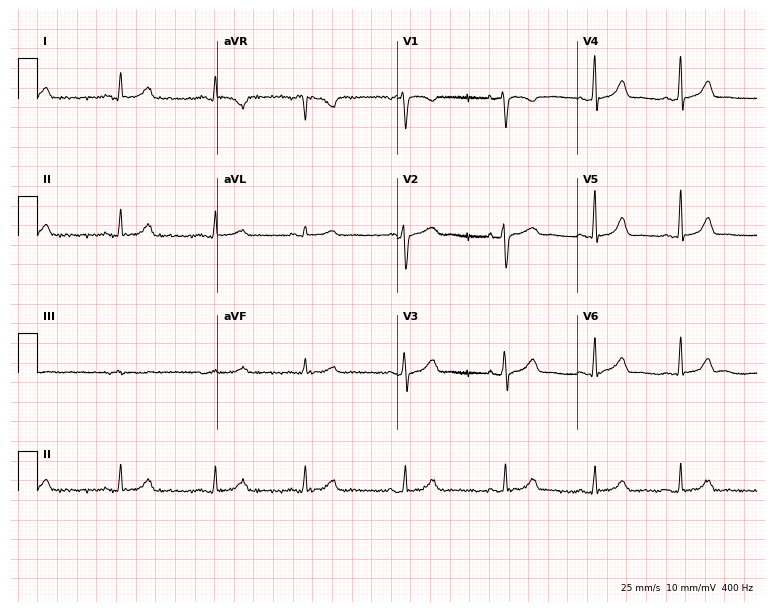
12-lead ECG from a female, 35 years old. Recorded interpretation: within normal limits.